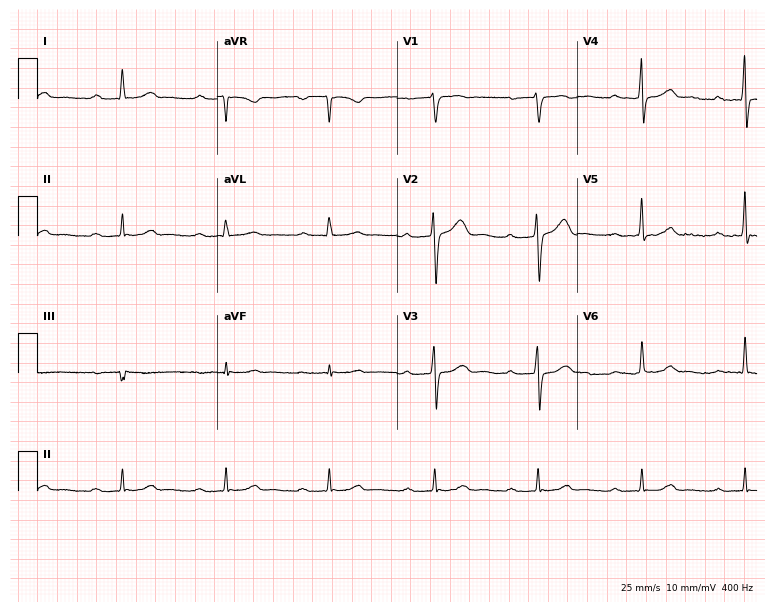
12-lead ECG from a 67-year-old male. No first-degree AV block, right bundle branch block, left bundle branch block, sinus bradycardia, atrial fibrillation or sinus tachycardia recorded for this tracing. Findings outside these six are not listed.